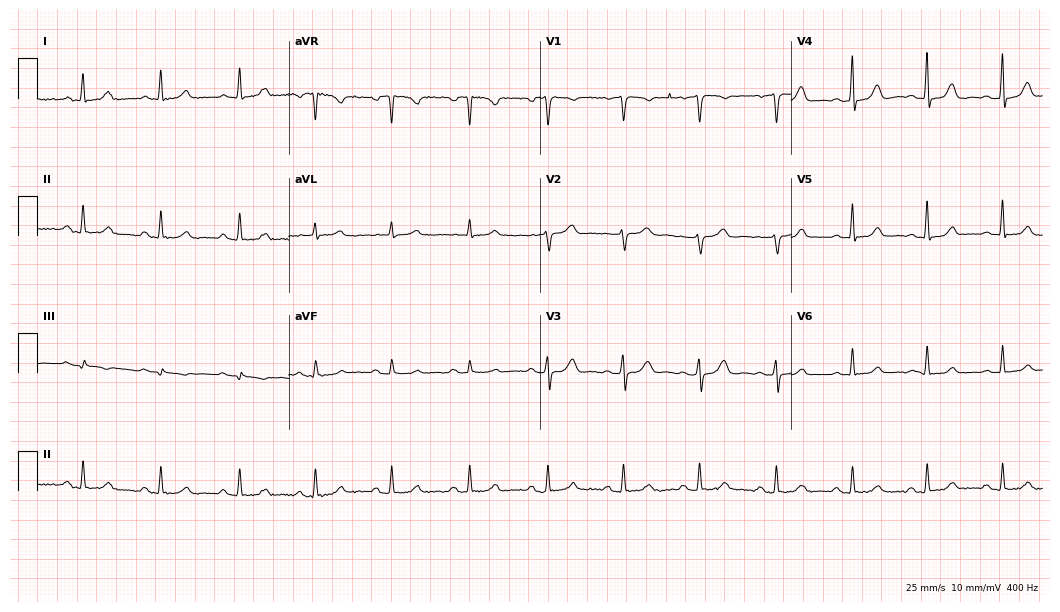
Electrocardiogram (10.2-second recording at 400 Hz), a female, 46 years old. Overall reading on record: normal ECG.